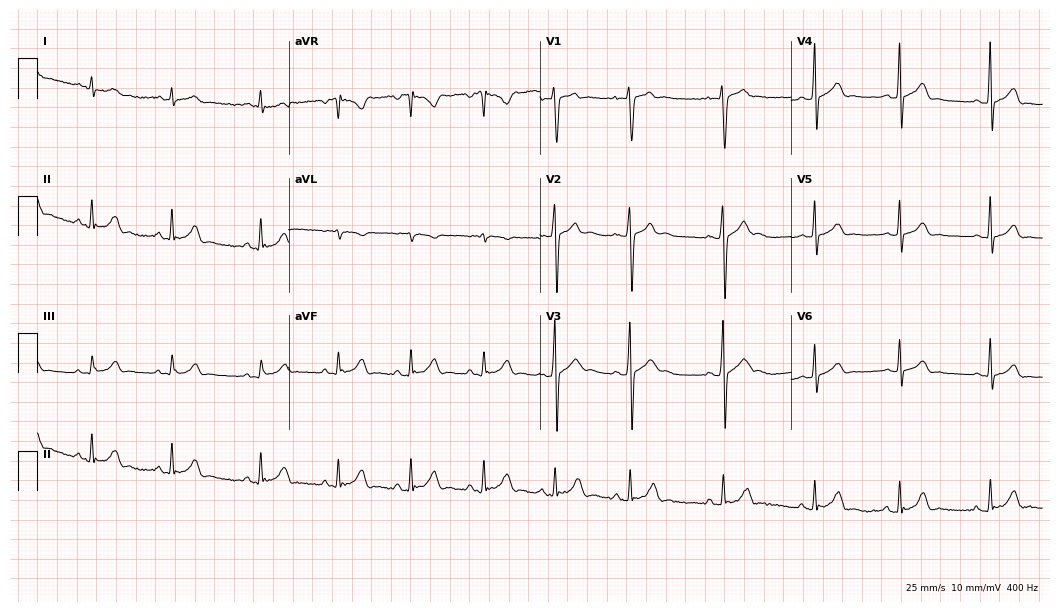
Standard 12-lead ECG recorded from a man, 17 years old (10.2-second recording at 400 Hz). None of these six findings is recorded: first-degree AV block, right bundle branch block (RBBB), left bundle branch block (LBBB), sinus bradycardia, atrial fibrillation (AF), sinus tachycardia.